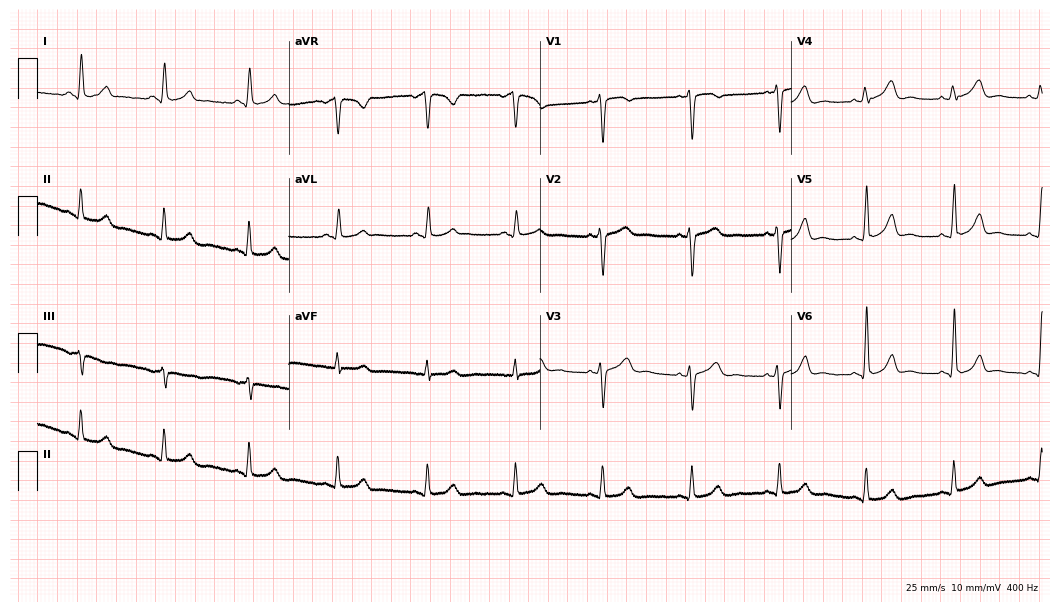
Resting 12-lead electrocardiogram (10.2-second recording at 400 Hz). Patient: a female, 38 years old. None of these six findings is recorded: first-degree AV block, right bundle branch block (RBBB), left bundle branch block (LBBB), sinus bradycardia, atrial fibrillation (AF), sinus tachycardia.